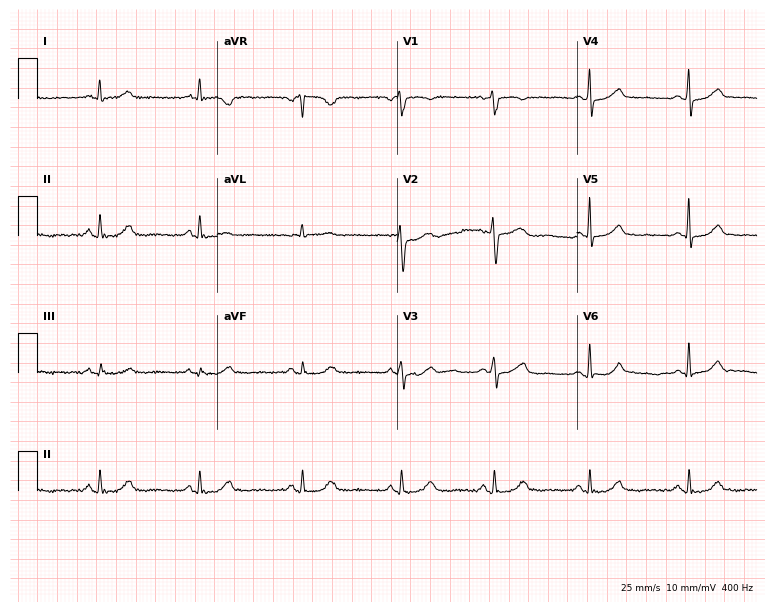
12-lead ECG from a female patient, 52 years old (7.3-second recording at 400 Hz). No first-degree AV block, right bundle branch block, left bundle branch block, sinus bradycardia, atrial fibrillation or sinus tachycardia recorded for this tracing.